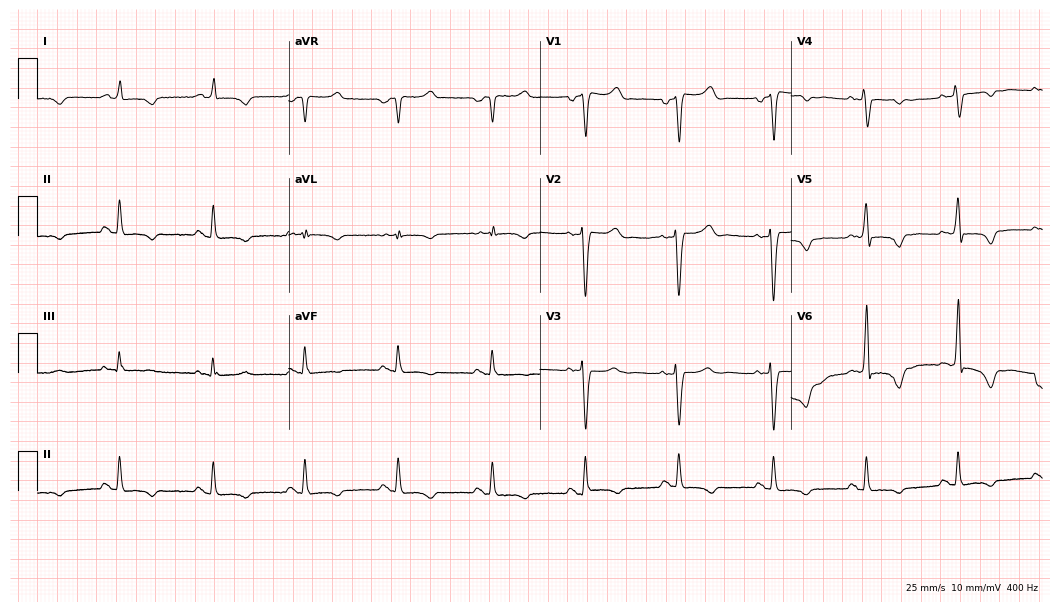
Electrocardiogram (10.2-second recording at 400 Hz), a 68-year-old man. Of the six screened findings (first-degree AV block, right bundle branch block (RBBB), left bundle branch block (LBBB), sinus bradycardia, atrial fibrillation (AF), sinus tachycardia), none is recorded.